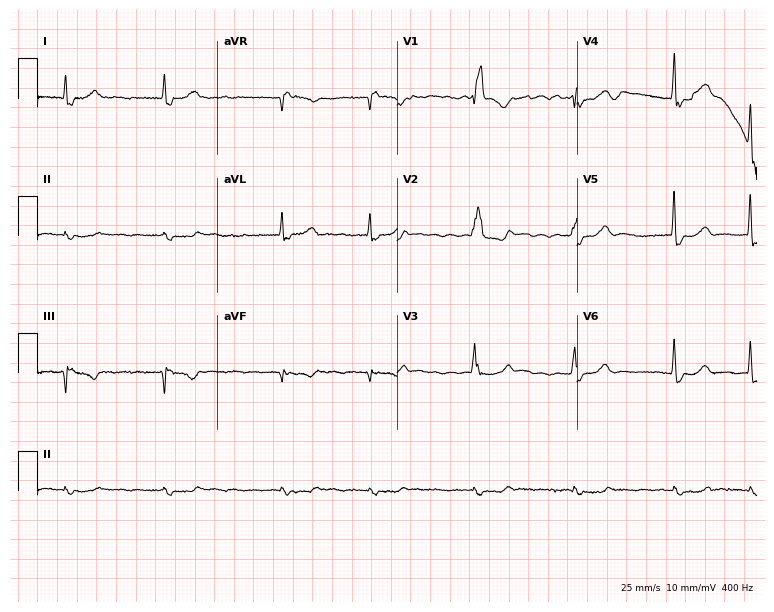
12-lead ECG (7.3-second recording at 400 Hz) from a female, 82 years old. Findings include right bundle branch block, atrial fibrillation.